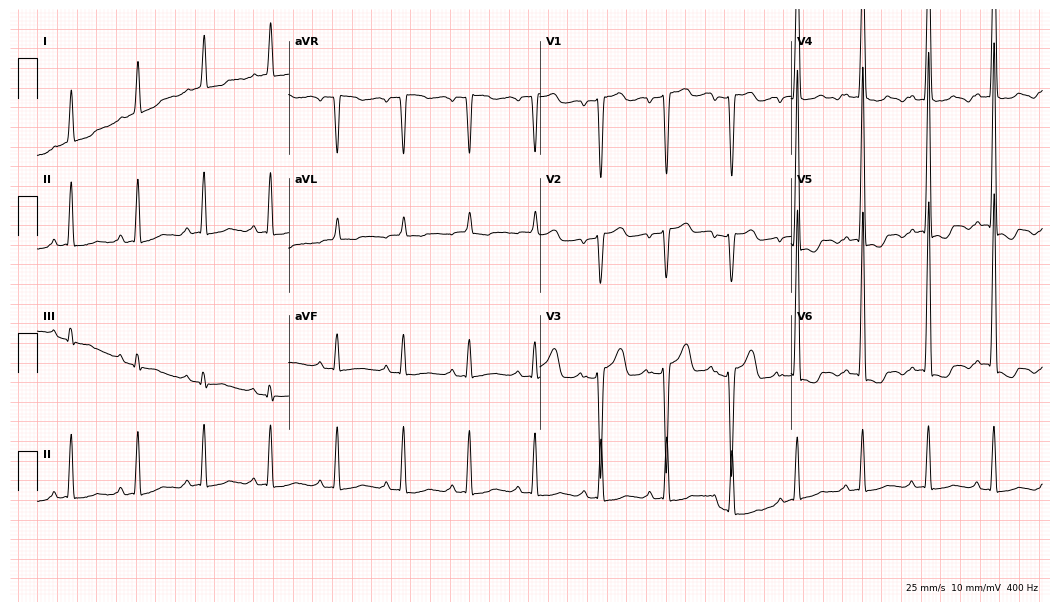
Standard 12-lead ECG recorded from a male patient, 71 years old (10.2-second recording at 400 Hz). None of these six findings is recorded: first-degree AV block, right bundle branch block, left bundle branch block, sinus bradycardia, atrial fibrillation, sinus tachycardia.